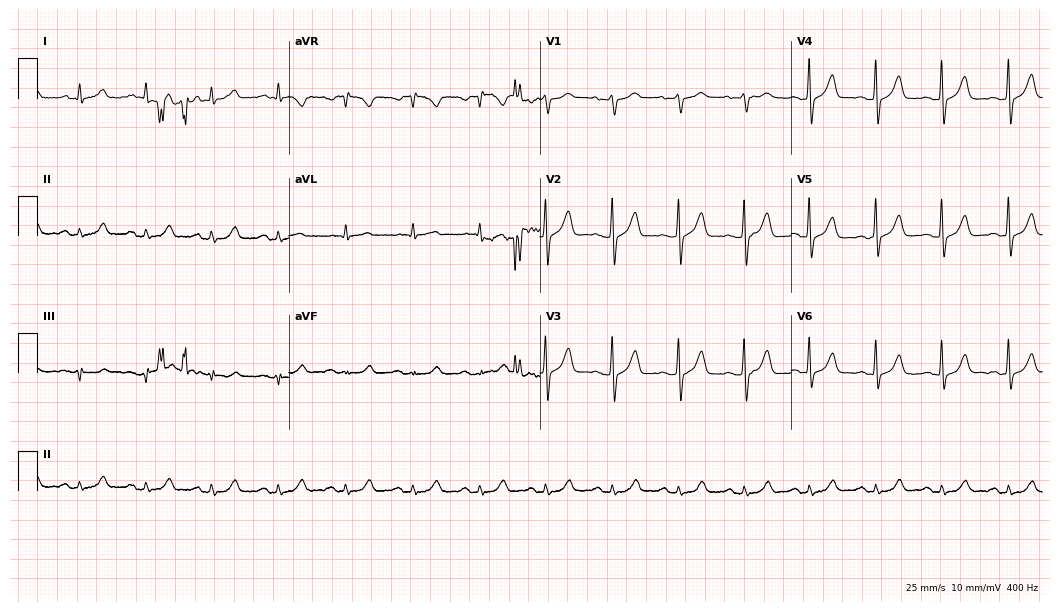
Resting 12-lead electrocardiogram (10.2-second recording at 400 Hz). Patient: a 67-year-old male. Read as a normal ECG.